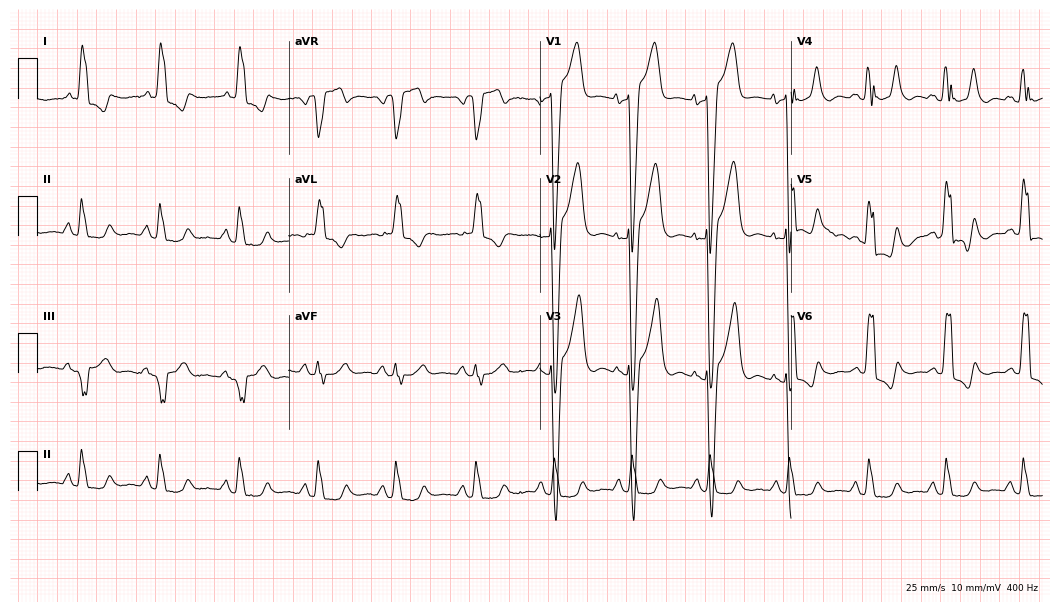
ECG — a female, 85 years old. Findings include left bundle branch block (LBBB).